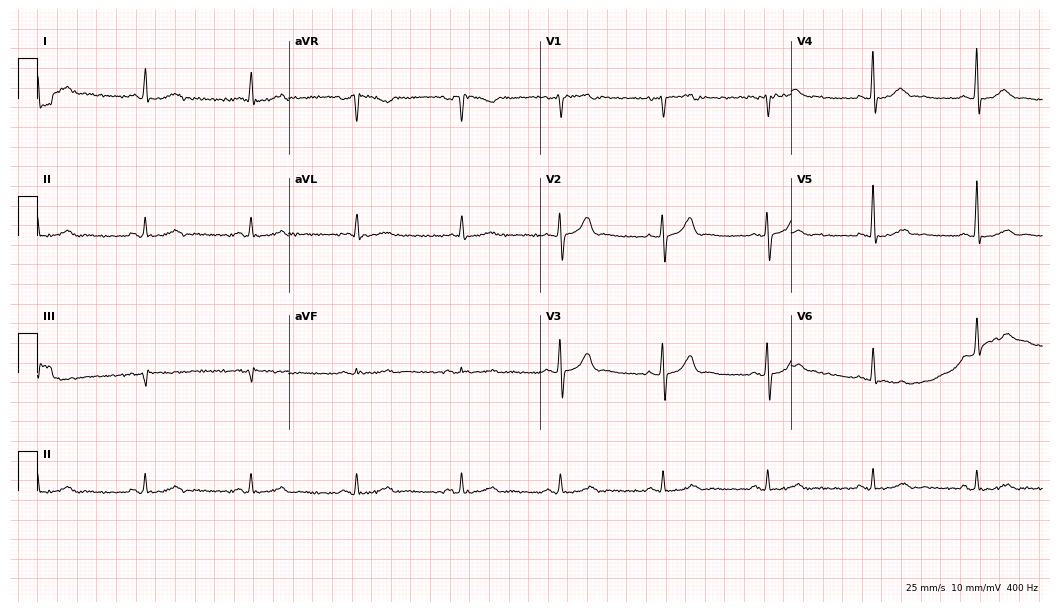
Electrocardiogram, a 43-year-old man. Overall reading on record: normal ECG.